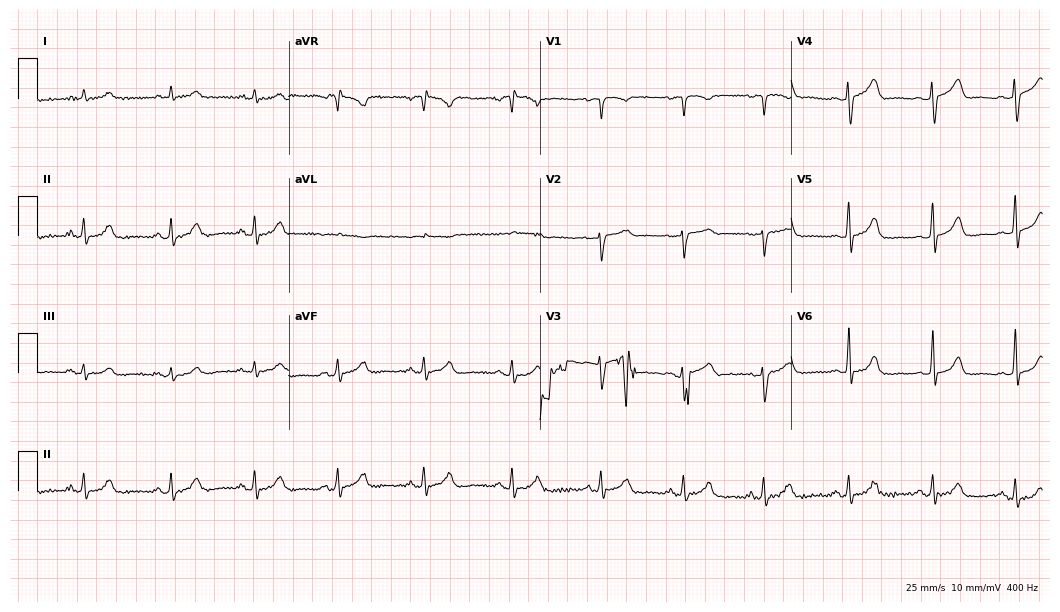
12-lead ECG (10.2-second recording at 400 Hz) from a male patient, 69 years old. Screened for six findings — first-degree AV block, right bundle branch block, left bundle branch block, sinus bradycardia, atrial fibrillation, sinus tachycardia — none is recorded.